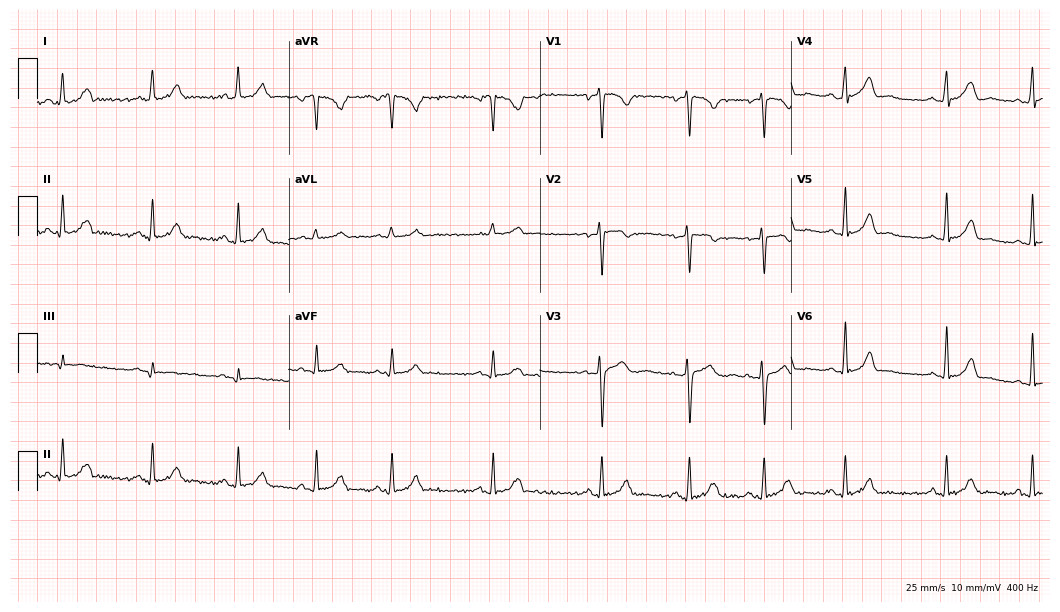
Resting 12-lead electrocardiogram. Patient: a 20-year-old female. None of these six findings is recorded: first-degree AV block, right bundle branch block, left bundle branch block, sinus bradycardia, atrial fibrillation, sinus tachycardia. Findings outside these six are not listed.